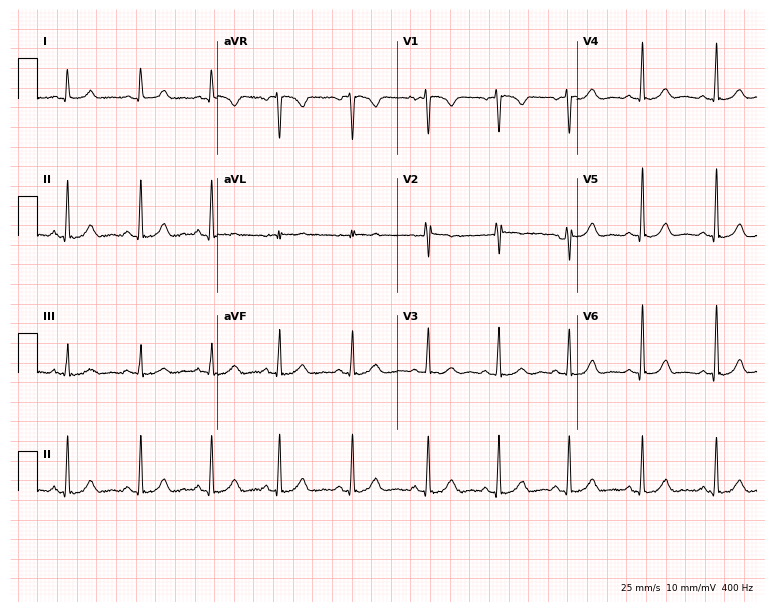
12-lead ECG (7.3-second recording at 400 Hz) from a woman, 34 years old. Labelled as a normal ECG.